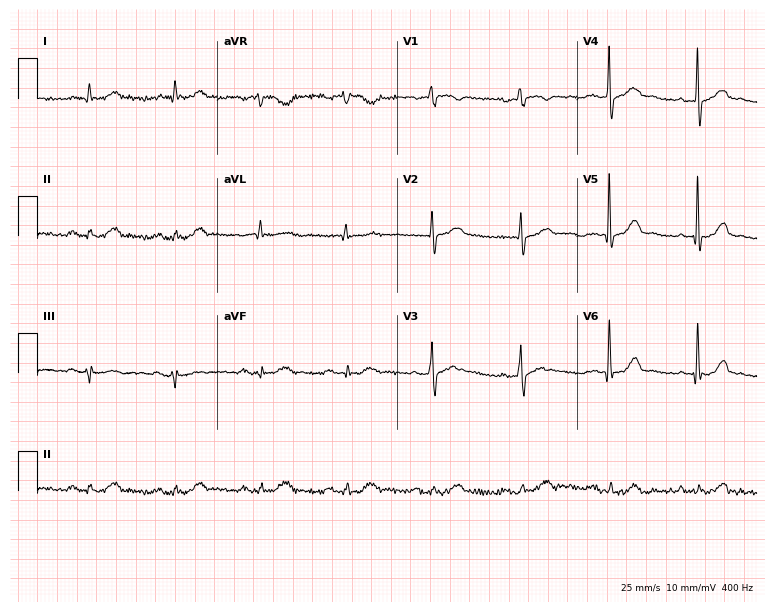
Electrocardiogram, a 74-year-old male. Overall reading on record: normal ECG.